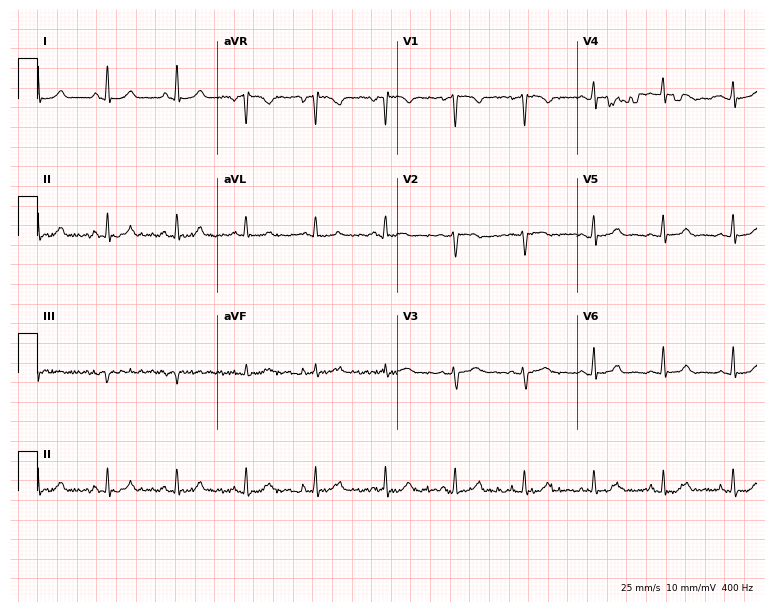
12-lead ECG (7.3-second recording at 400 Hz) from a 35-year-old female patient. Labelled as a normal ECG.